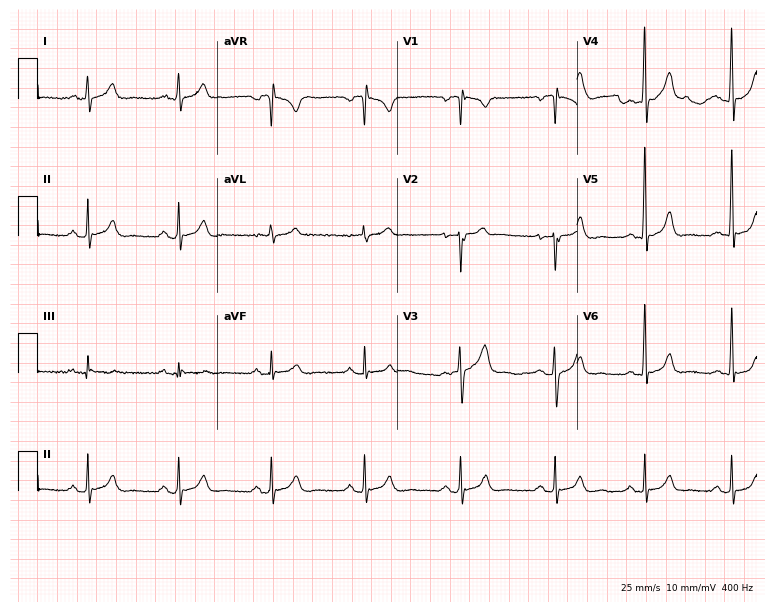
ECG (7.3-second recording at 400 Hz) — a male patient, 46 years old. Labelled as a normal ECG.